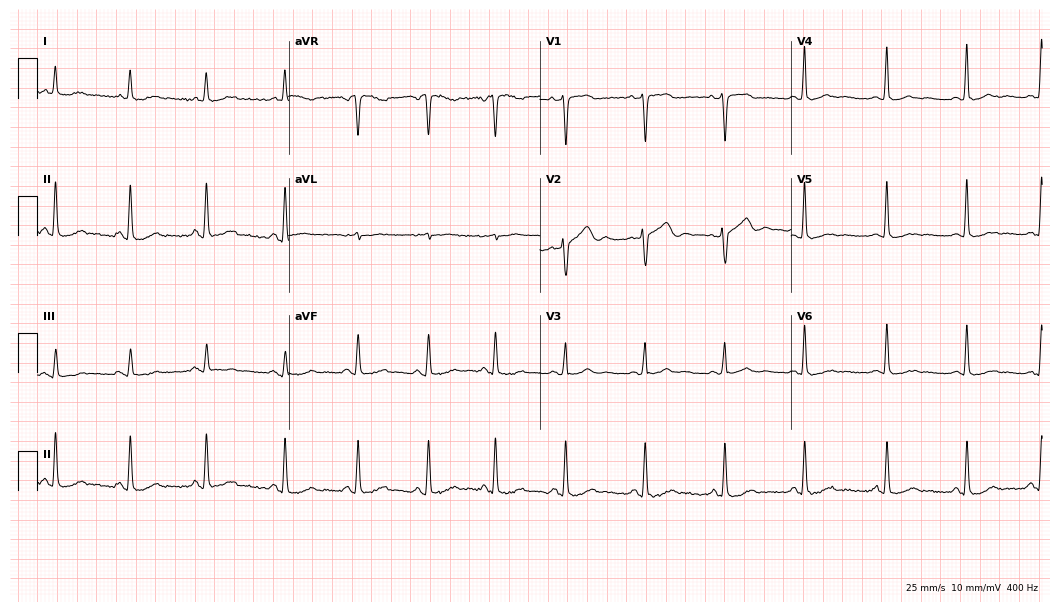
Resting 12-lead electrocardiogram (10.2-second recording at 400 Hz). Patient: a woman, 48 years old. None of these six findings is recorded: first-degree AV block, right bundle branch block, left bundle branch block, sinus bradycardia, atrial fibrillation, sinus tachycardia. Only these six findings were labelled.